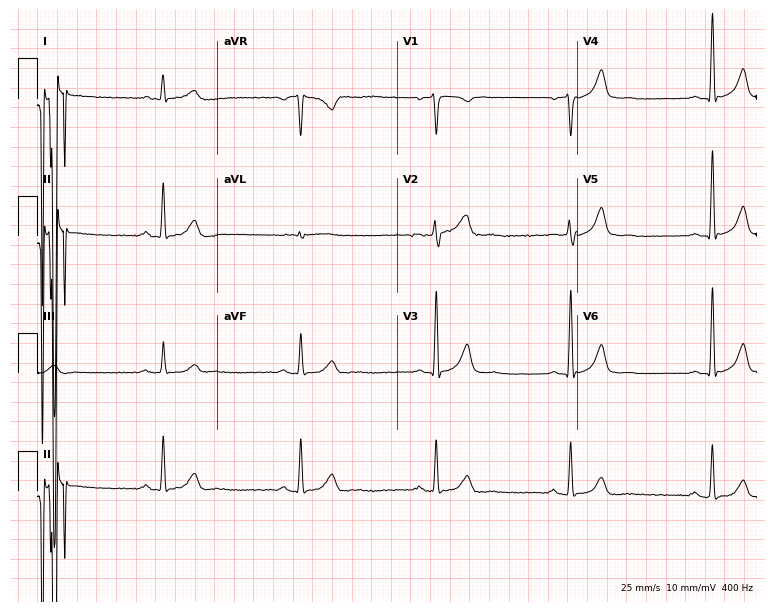
Resting 12-lead electrocardiogram (7.3-second recording at 400 Hz). Patient: a 63-year-old male. The tracing shows sinus bradycardia (a sinus rate of 50 beats per minute or less).